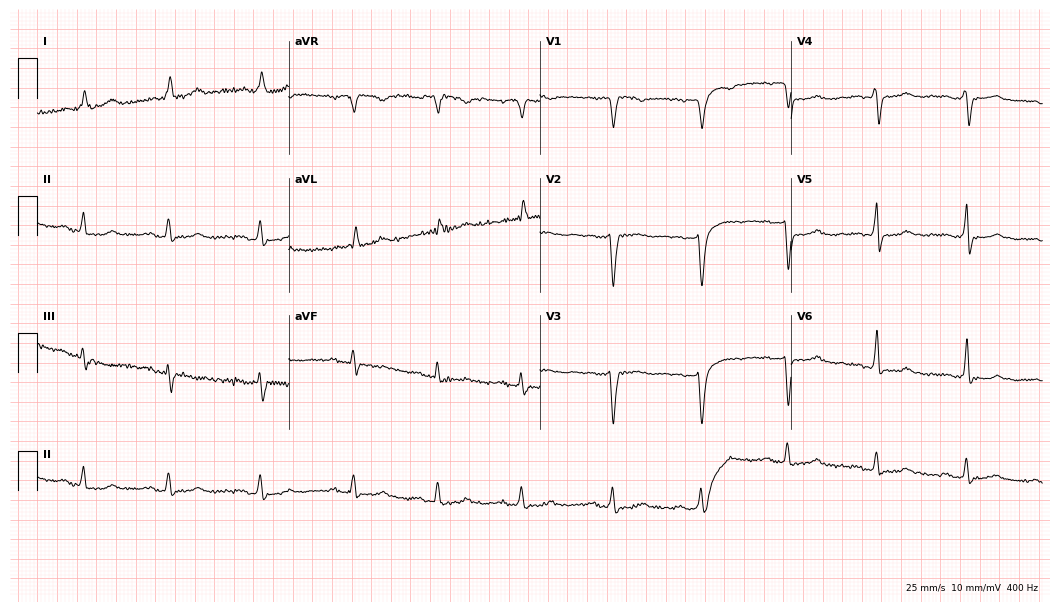
Electrocardiogram, a female, 80 years old. Of the six screened findings (first-degree AV block, right bundle branch block, left bundle branch block, sinus bradycardia, atrial fibrillation, sinus tachycardia), none is recorded.